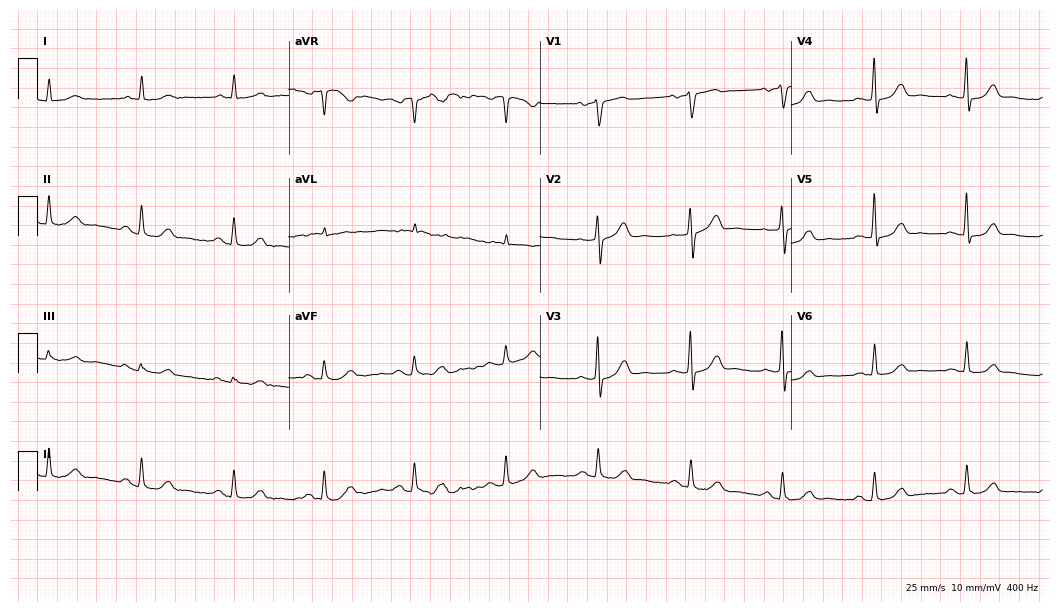
Electrocardiogram (10.2-second recording at 400 Hz), a man, 75 years old. Overall reading on record: normal ECG.